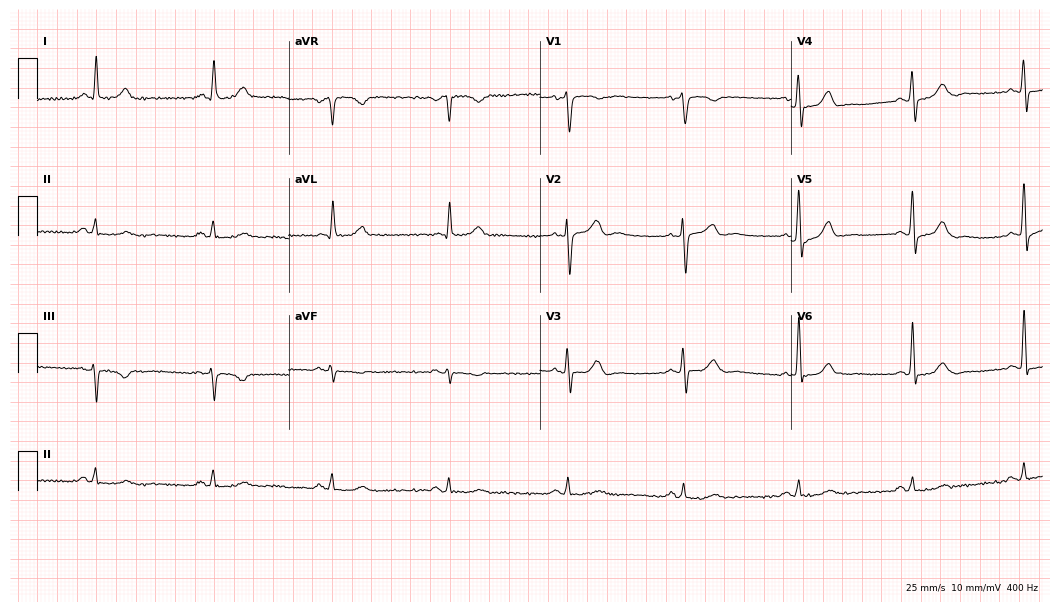
Electrocardiogram (10.2-second recording at 400 Hz), a 72-year-old male patient. Interpretation includes sinus bradycardia (a sinus rate of 50 beats per minute or less).